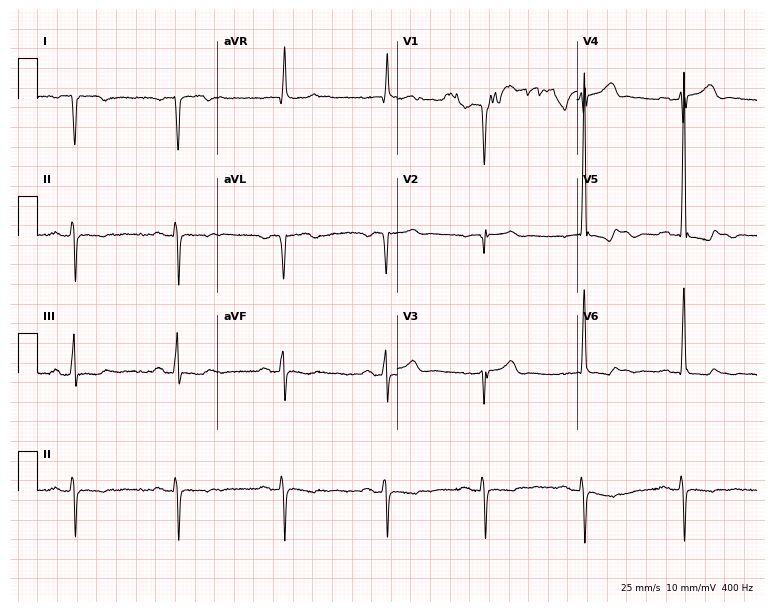
ECG (7.3-second recording at 400 Hz) — a female, 77 years old. Screened for six findings — first-degree AV block, right bundle branch block (RBBB), left bundle branch block (LBBB), sinus bradycardia, atrial fibrillation (AF), sinus tachycardia — none is recorded.